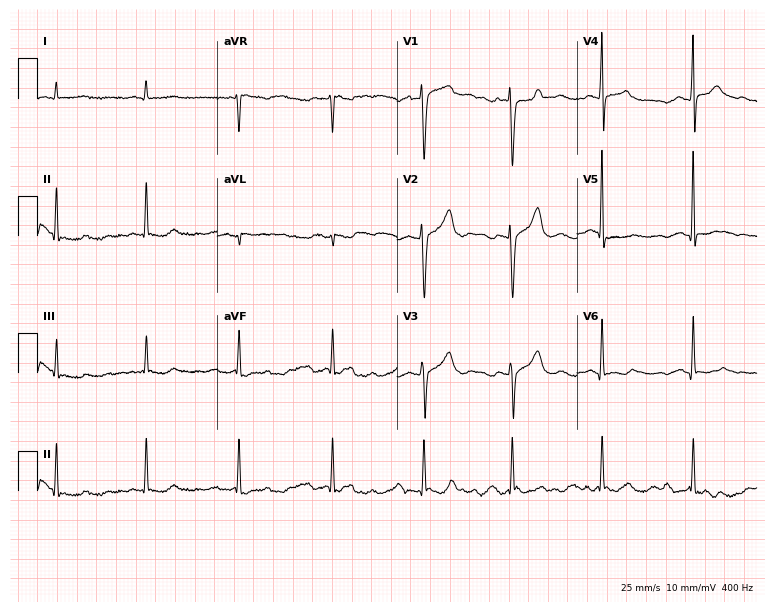
Standard 12-lead ECG recorded from a male, 55 years old. None of these six findings is recorded: first-degree AV block, right bundle branch block, left bundle branch block, sinus bradycardia, atrial fibrillation, sinus tachycardia. Other findings, if any, are not listed.